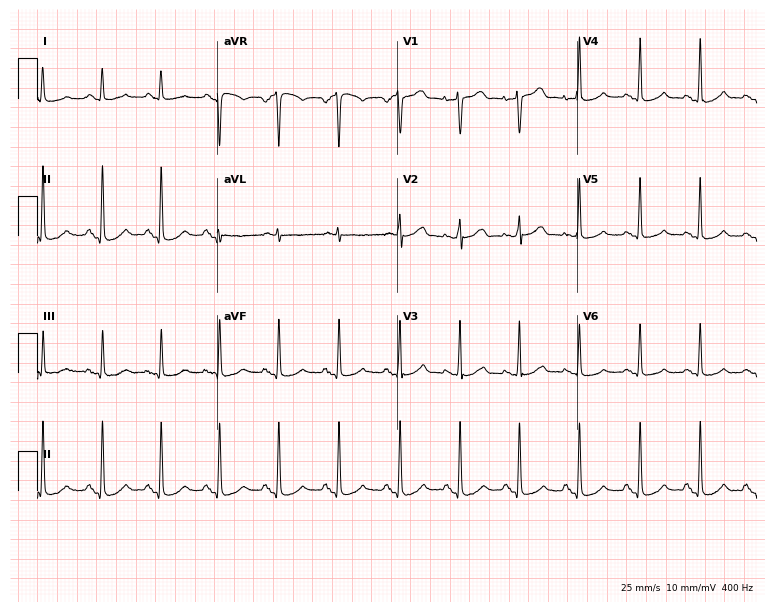
12-lead ECG from a 52-year-old woman (7.3-second recording at 400 Hz). No first-degree AV block, right bundle branch block, left bundle branch block, sinus bradycardia, atrial fibrillation or sinus tachycardia recorded for this tracing. Other findings, if any, are not listed.